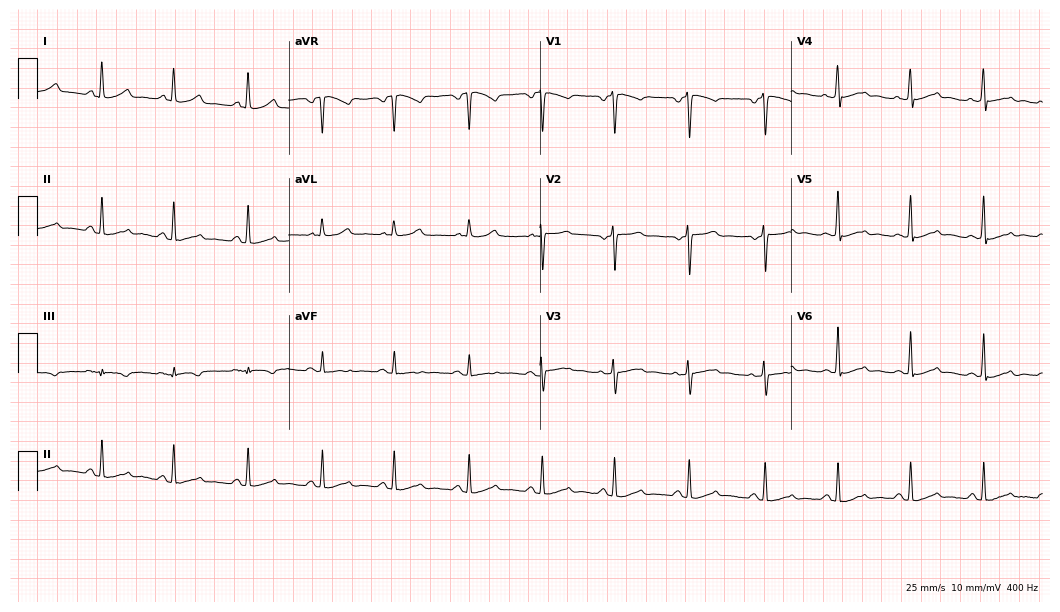
Resting 12-lead electrocardiogram (10.2-second recording at 400 Hz). Patient: a 38-year-old female. Read as a normal ECG.